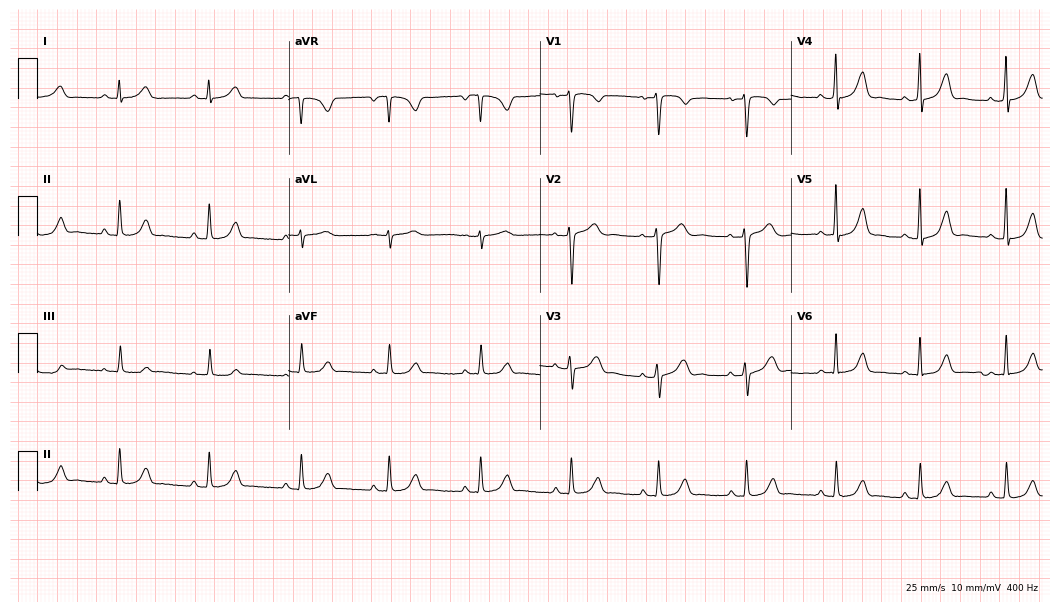
12-lead ECG (10.2-second recording at 400 Hz) from a woman, 36 years old. Labelled as a normal ECG.